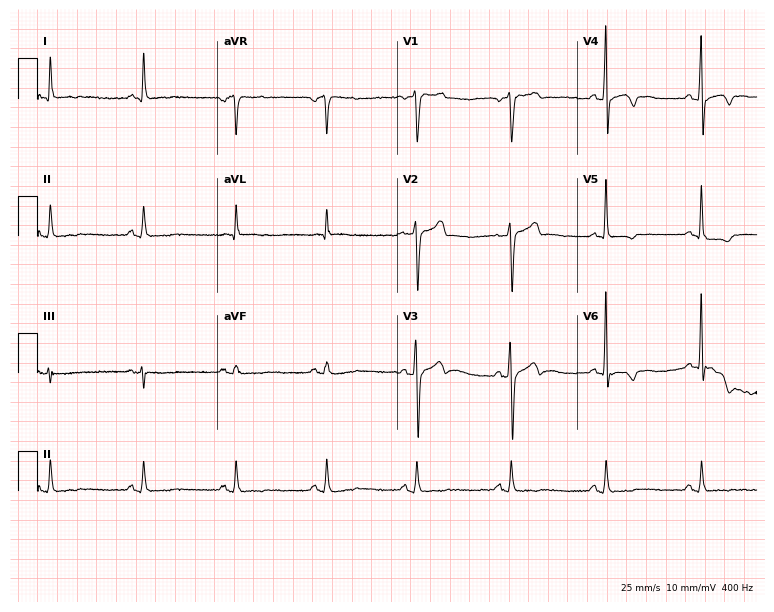
12-lead ECG from a 43-year-old male (7.3-second recording at 400 Hz). No first-degree AV block, right bundle branch block (RBBB), left bundle branch block (LBBB), sinus bradycardia, atrial fibrillation (AF) or sinus tachycardia recorded for this tracing. Only these six findings were labelled.